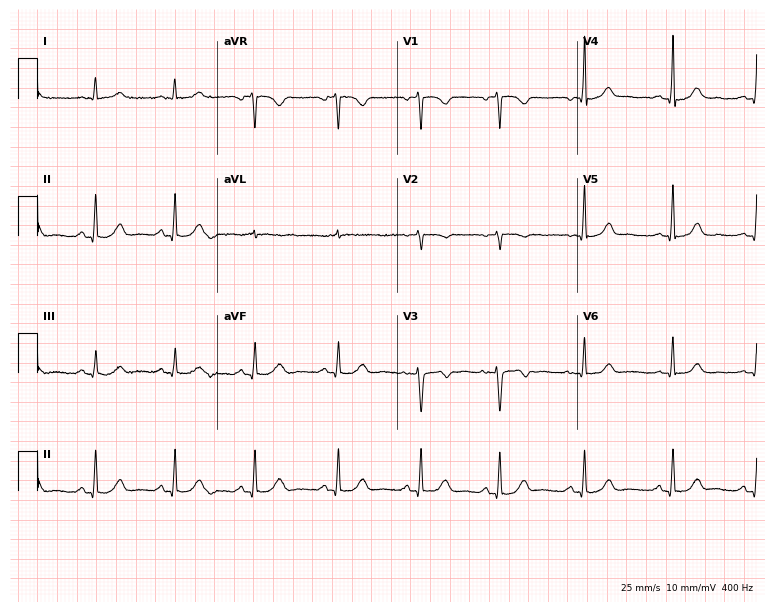
12-lead ECG from a 42-year-old female. No first-degree AV block, right bundle branch block, left bundle branch block, sinus bradycardia, atrial fibrillation or sinus tachycardia recorded for this tracing.